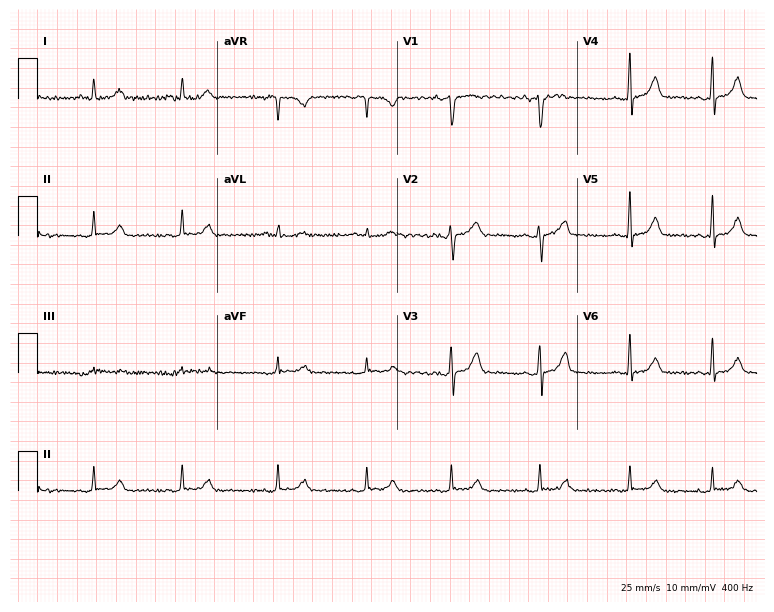
ECG — a 35-year-old woman. Labelled as a normal ECG.